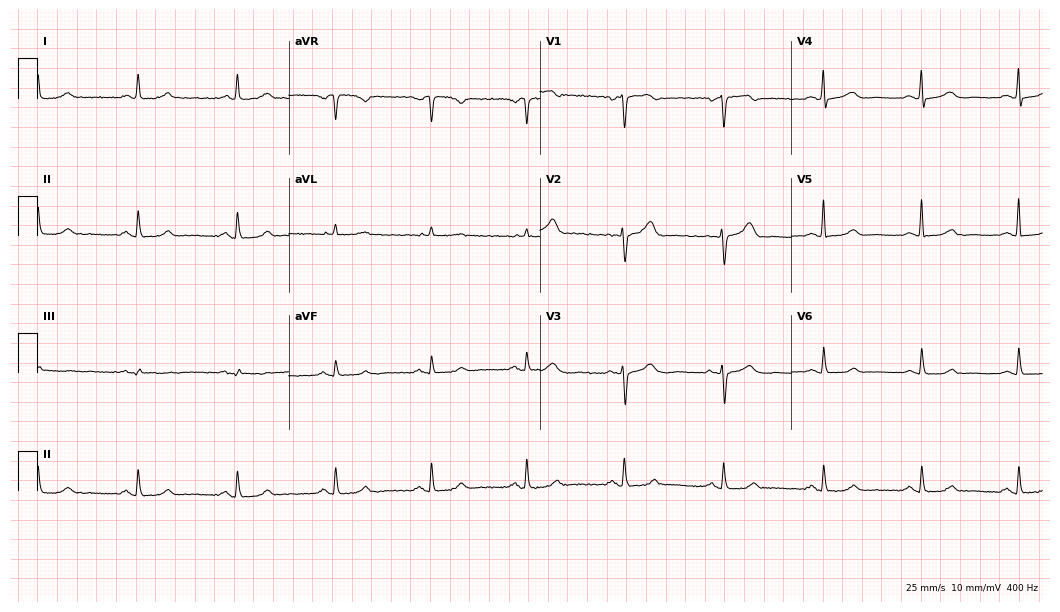
Electrocardiogram, a 58-year-old female patient. Overall reading on record: normal ECG.